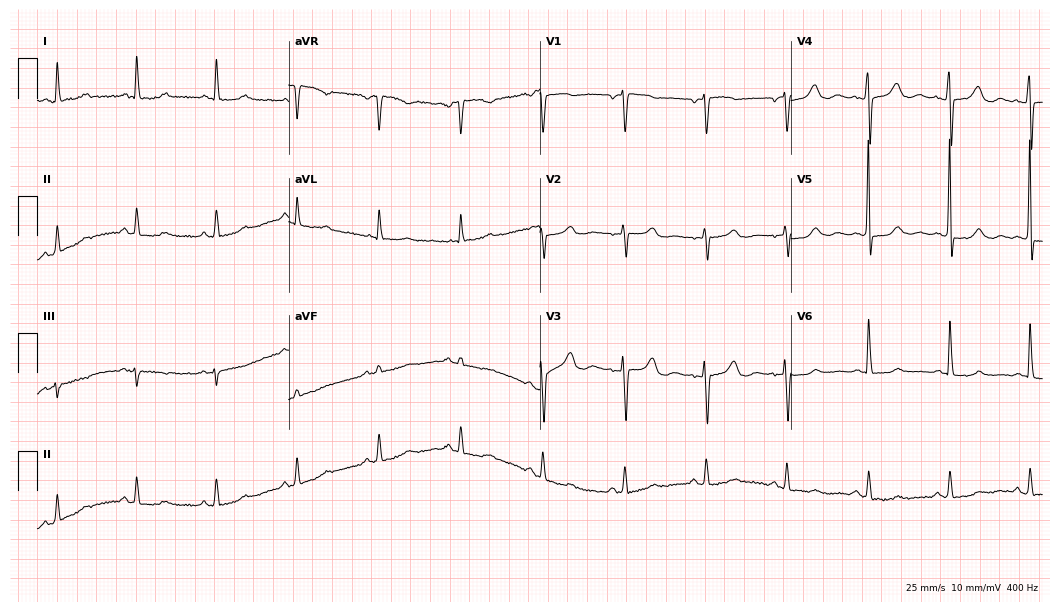
Electrocardiogram (10.2-second recording at 400 Hz), a 61-year-old female. Of the six screened findings (first-degree AV block, right bundle branch block, left bundle branch block, sinus bradycardia, atrial fibrillation, sinus tachycardia), none is recorded. Other findings, if any, are not listed.